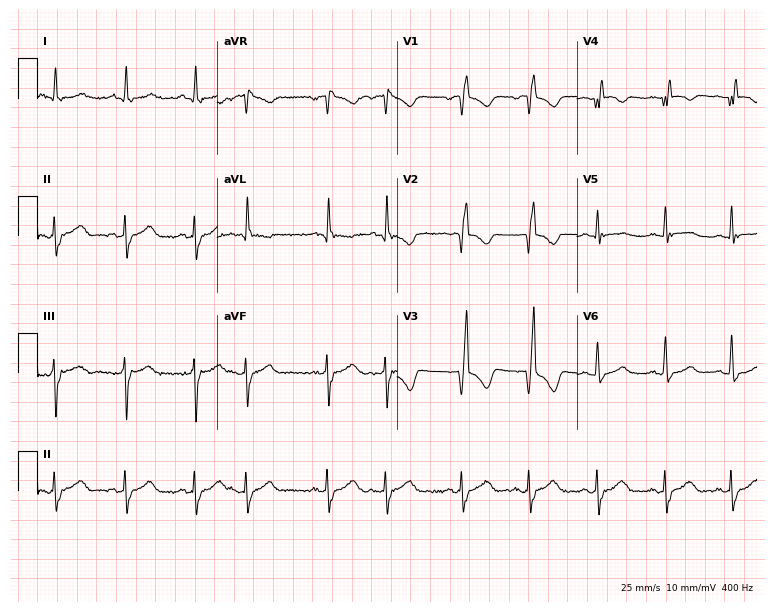
Electrocardiogram (7.3-second recording at 400 Hz), a 78-year-old female patient. Interpretation includes right bundle branch block, atrial fibrillation.